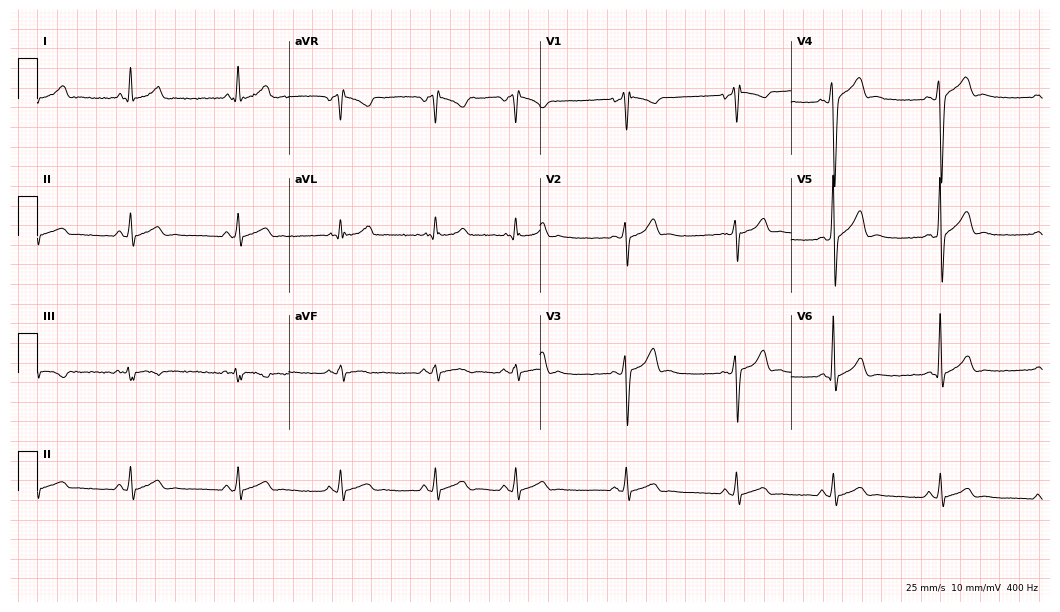
Electrocardiogram (10.2-second recording at 400 Hz), a man, 21 years old. Of the six screened findings (first-degree AV block, right bundle branch block, left bundle branch block, sinus bradycardia, atrial fibrillation, sinus tachycardia), none is recorded. Findings outside these six are not listed.